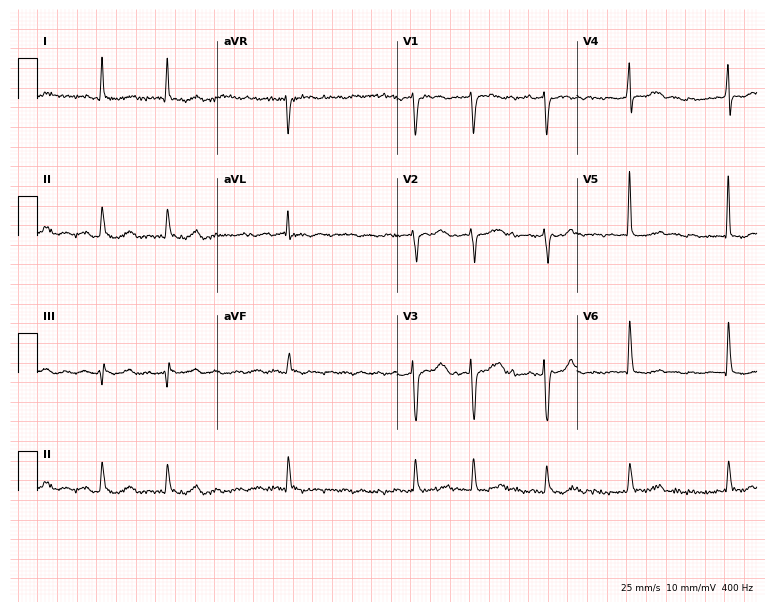
12-lead ECG from a 59-year-old female (7.3-second recording at 400 Hz). Shows atrial fibrillation (AF).